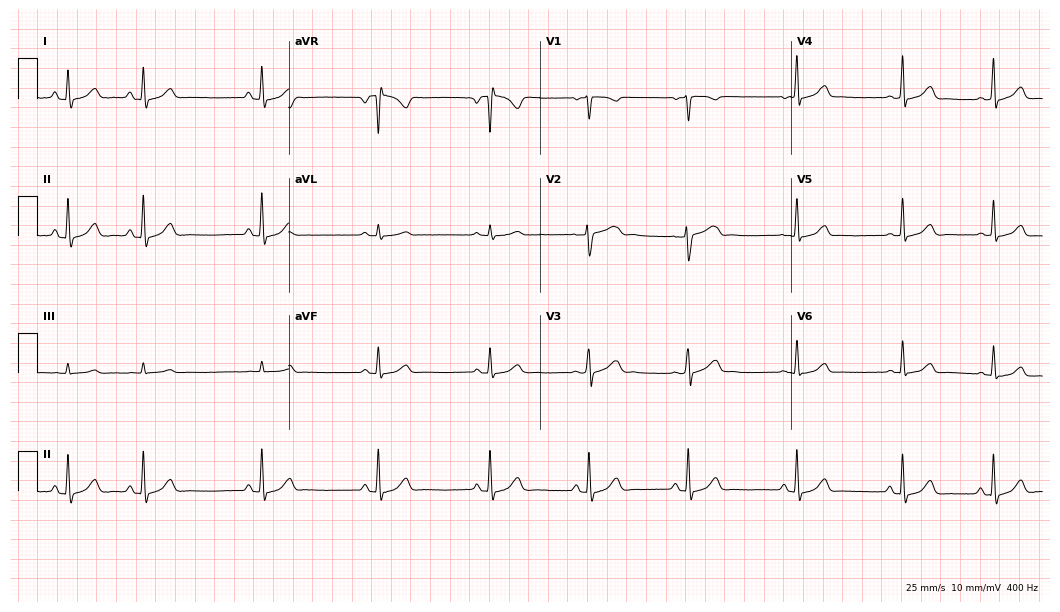
Standard 12-lead ECG recorded from a 31-year-old female. Read as a normal ECG.